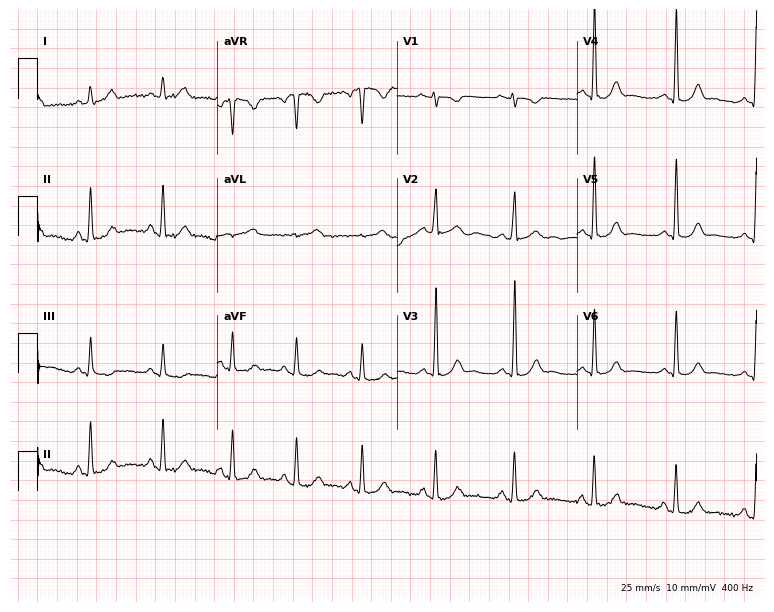
12-lead ECG (7.3-second recording at 400 Hz) from a 23-year-old female. Screened for six findings — first-degree AV block, right bundle branch block, left bundle branch block, sinus bradycardia, atrial fibrillation, sinus tachycardia — none is recorded. Findings outside these six are not listed.